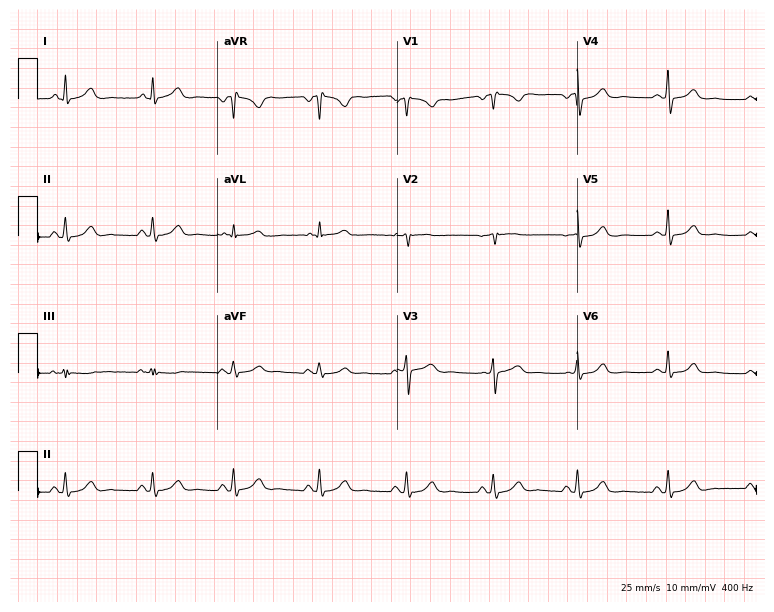
Standard 12-lead ECG recorded from a 28-year-old woman. None of these six findings is recorded: first-degree AV block, right bundle branch block (RBBB), left bundle branch block (LBBB), sinus bradycardia, atrial fibrillation (AF), sinus tachycardia.